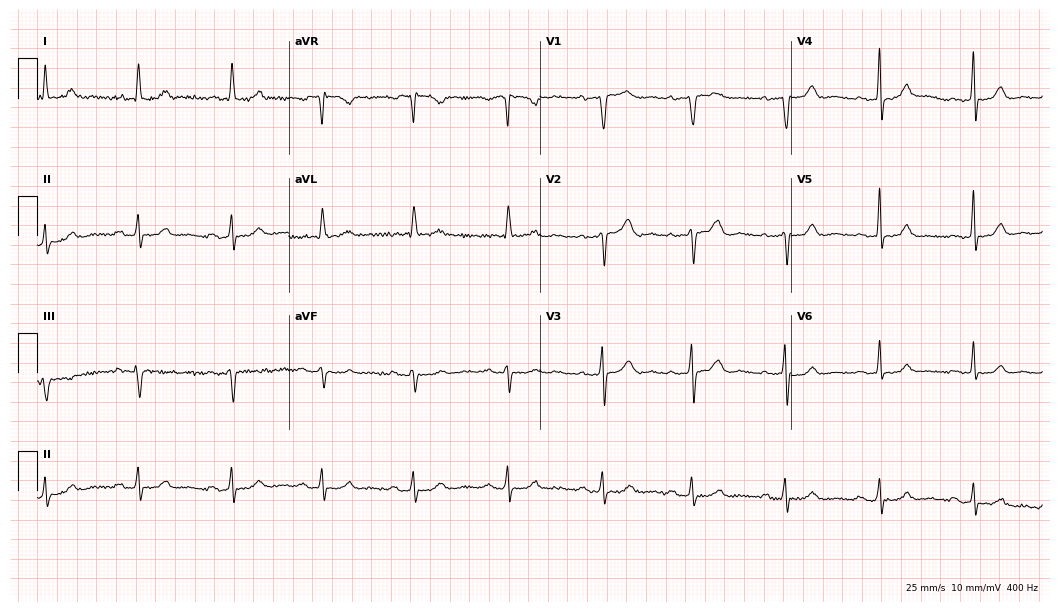
Electrocardiogram, a 71-year-old female patient. Interpretation includes first-degree AV block.